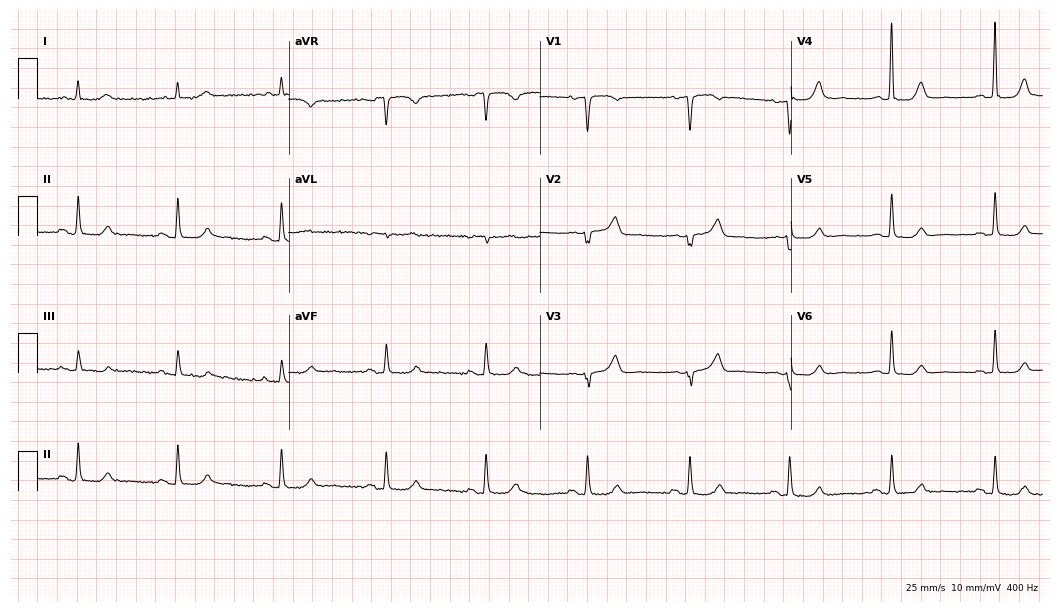
Standard 12-lead ECG recorded from a 73-year-old female. None of these six findings is recorded: first-degree AV block, right bundle branch block, left bundle branch block, sinus bradycardia, atrial fibrillation, sinus tachycardia.